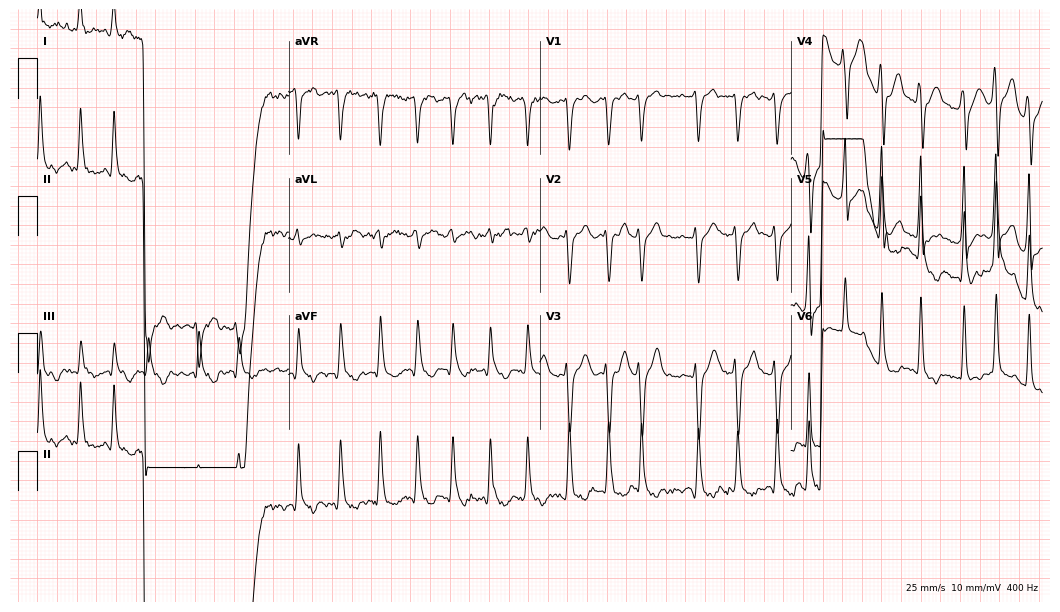
Standard 12-lead ECG recorded from a 54-year-old male patient (10.2-second recording at 400 Hz). The tracing shows atrial fibrillation.